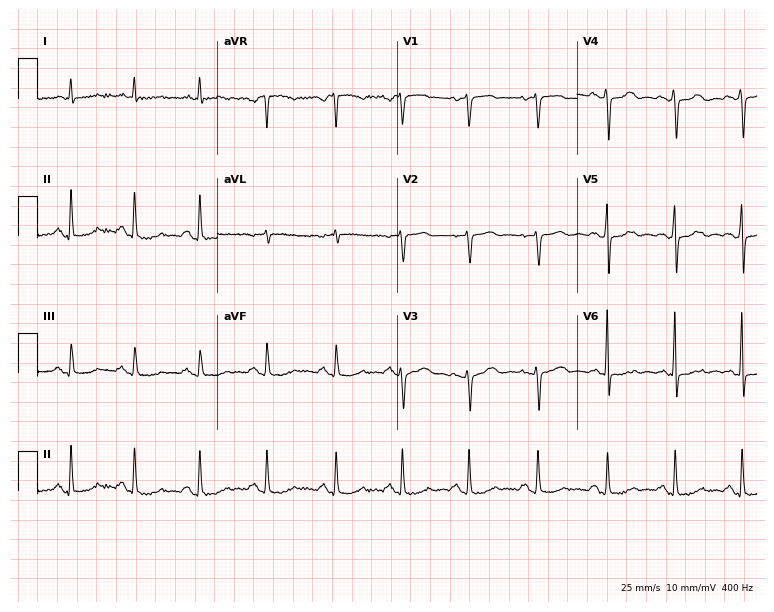
Electrocardiogram (7.3-second recording at 400 Hz), a 73-year-old woman. Of the six screened findings (first-degree AV block, right bundle branch block (RBBB), left bundle branch block (LBBB), sinus bradycardia, atrial fibrillation (AF), sinus tachycardia), none is recorded. Findings outside these six are not listed.